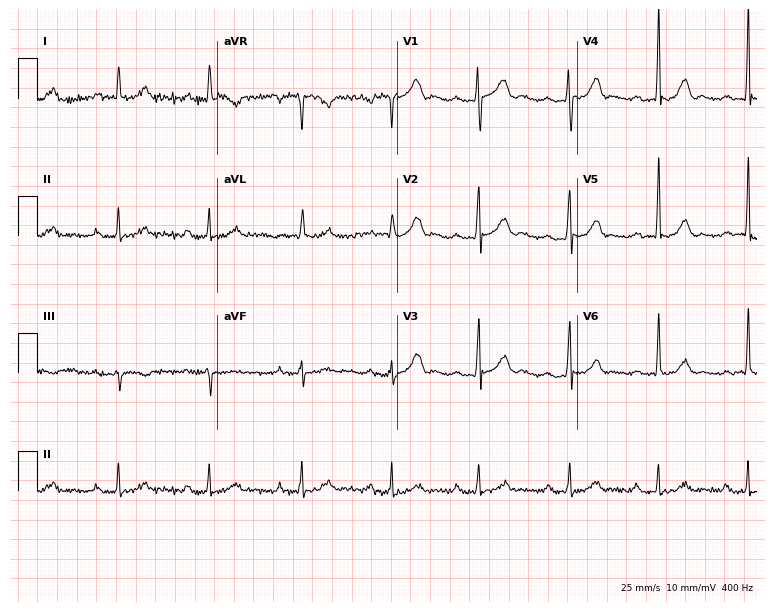
Electrocardiogram (7.3-second recording at 400 Hz), a 37-year-old male patient. Interpretation includes first-degree AV block.